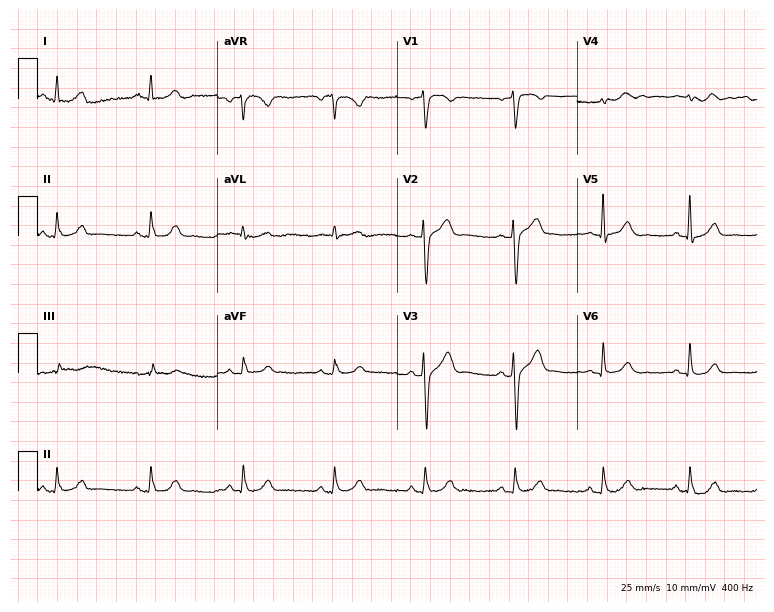
12-lead ECG (7.3-second recording at 400 Hz) from a 61-year-old man. Labelled as a normal ECG.